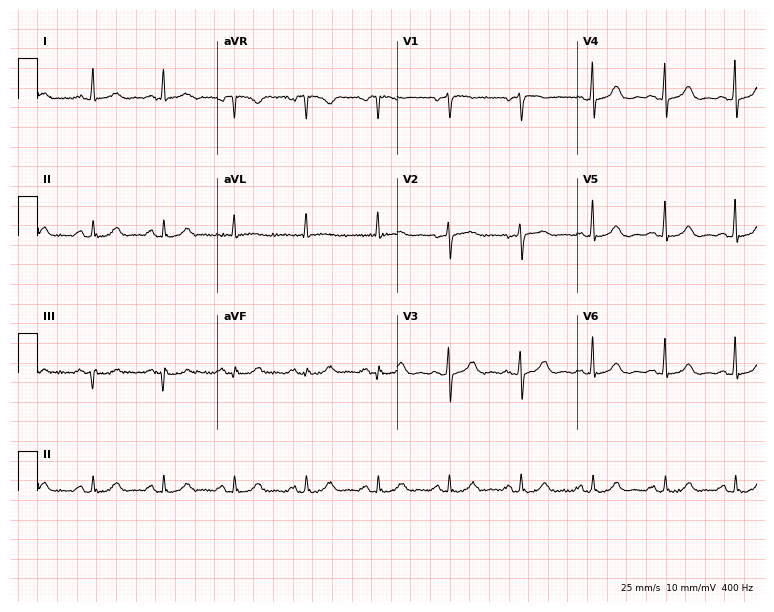
12-lead ECG from a 76-year-old female patient. Screened for six findings — first-degree AV block, right bundle branch block, left bundle branch block, sinus bradycardia, atrial fibrillation, sinus tachycardia — none is recorded. Only these six findings were labelled.